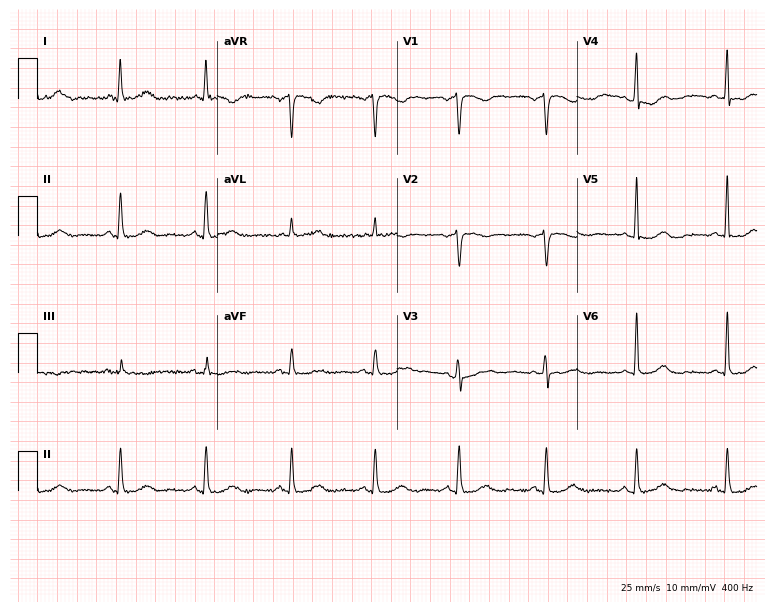
12-lead ECG from a 63-year-old female patient. Screened for six findings — first-degree AV block, right bundle branch block, left bundle branch block, sinus bradycardia, atrial fibrillation, sinus tachycardia — none is recorded.